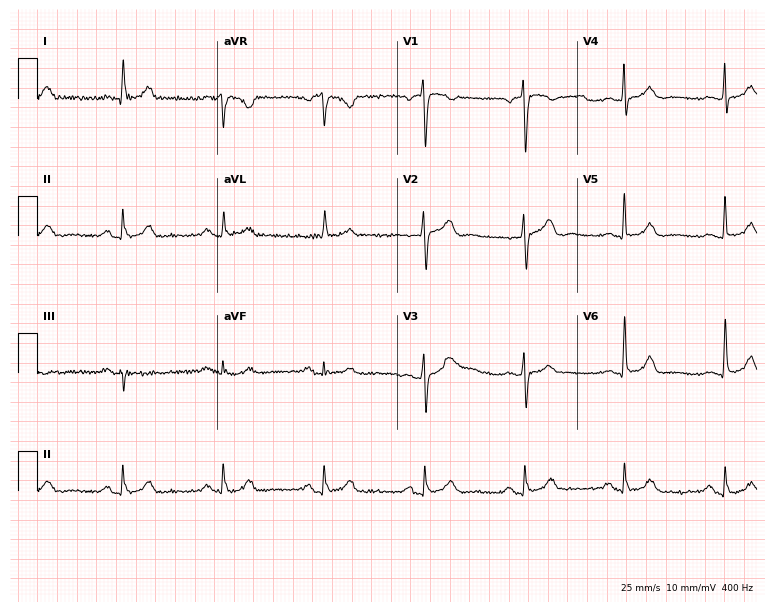
Standard 12-lead ECG recorded from a male patient, 85 years old. Read as a normal ECG.